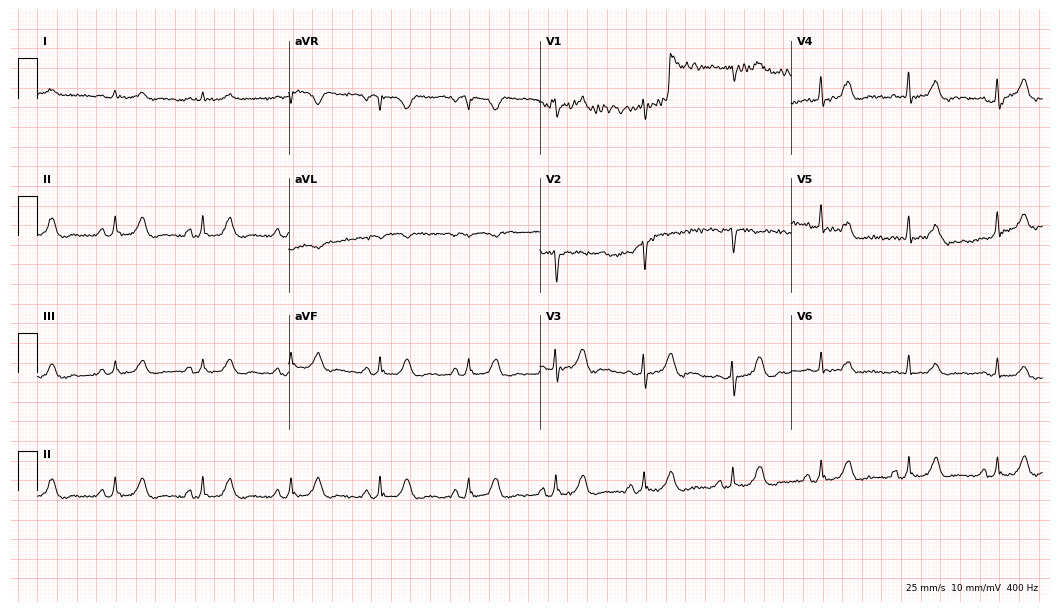
Electrocardiogram, an 85-year-old male patient. Overall reading on record: normal ECG.